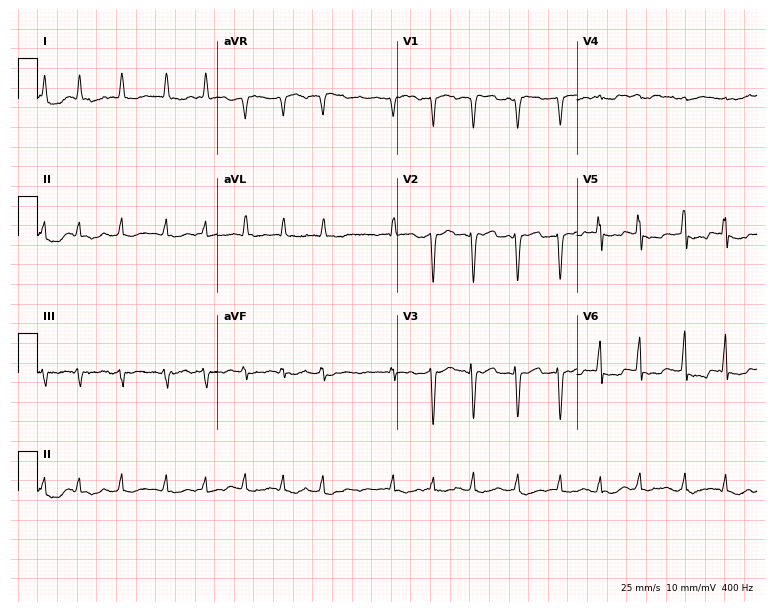
Standard 12-lead ECG recorded from a male patient, 70 years old (7.3-second recording at 400 Hz). None of these six findings is recorded: first-degree AV block, right bundle branch block, left bundle branch block, sinus bradycardia, atrial fibrillation, sinus tachycardia.